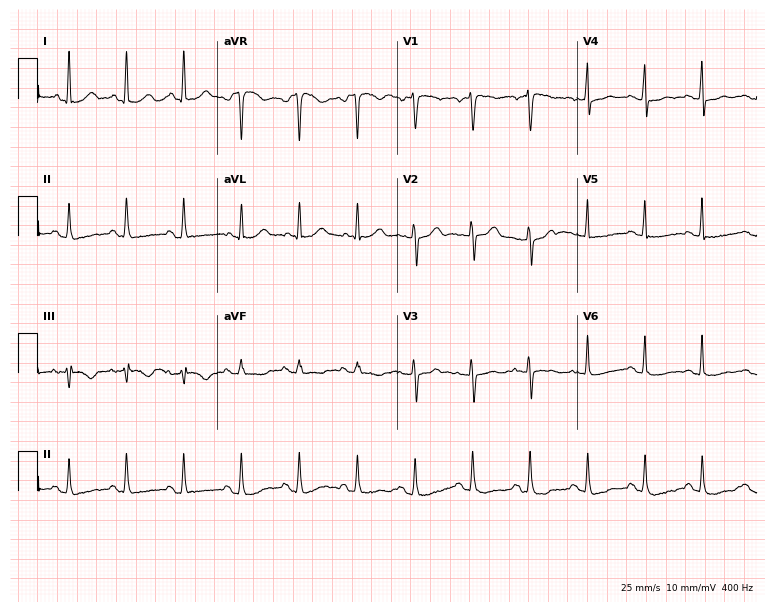
Standard 12-lead ECG recorded from a female, 52 years old. The tracing shows sinus tachycardia (a sinus rate of 100 beats per minute or more).